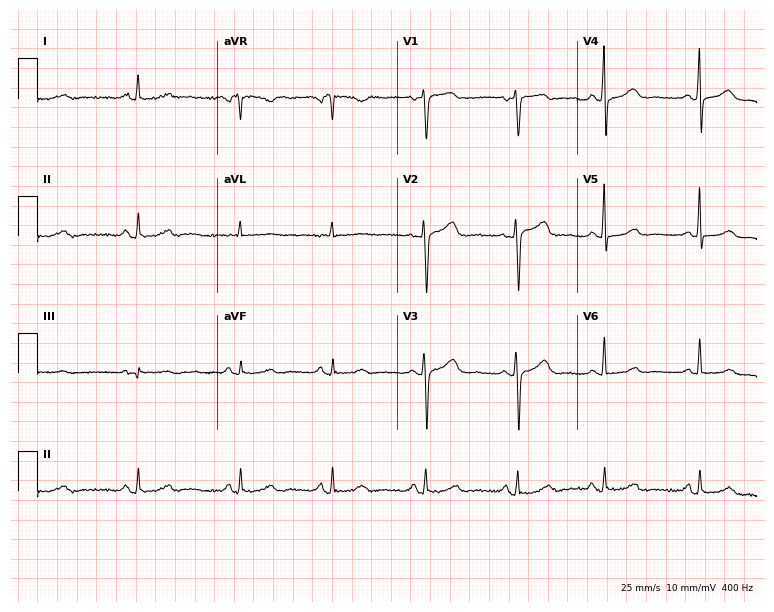
Resting 12-lead electrocardiogram. Patient: a female, 67 years old. Read as a normal ECG.